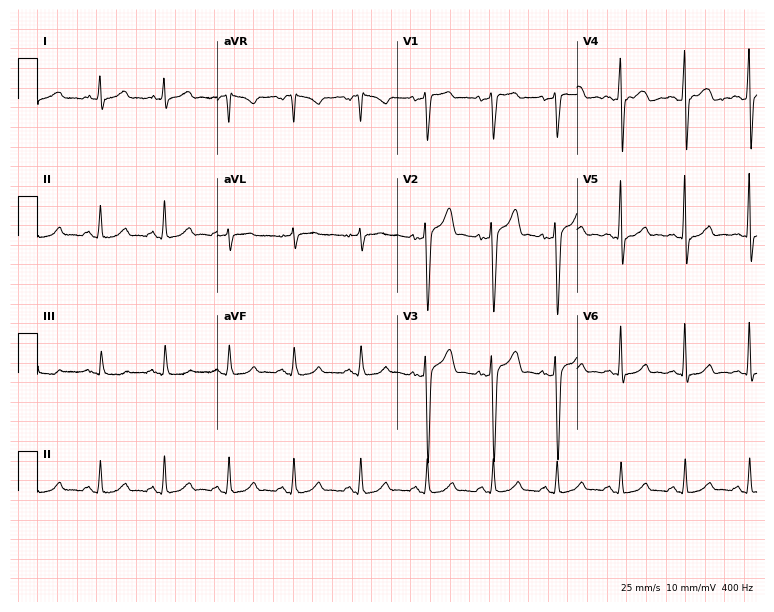
12-lead ECG from a male, 51 years old. Labelled as a normal ECG.